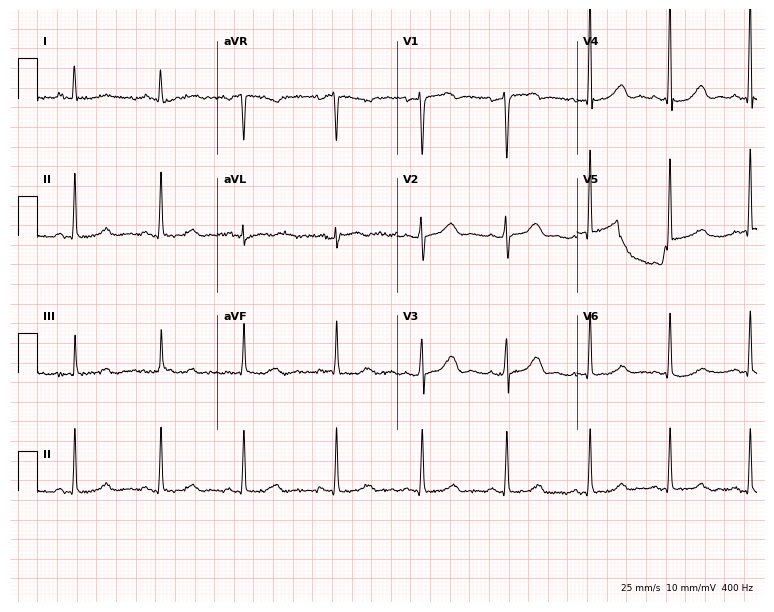
Electrocardiogram, a 52-year-old female patient. Overall reading on record: normal ECG.